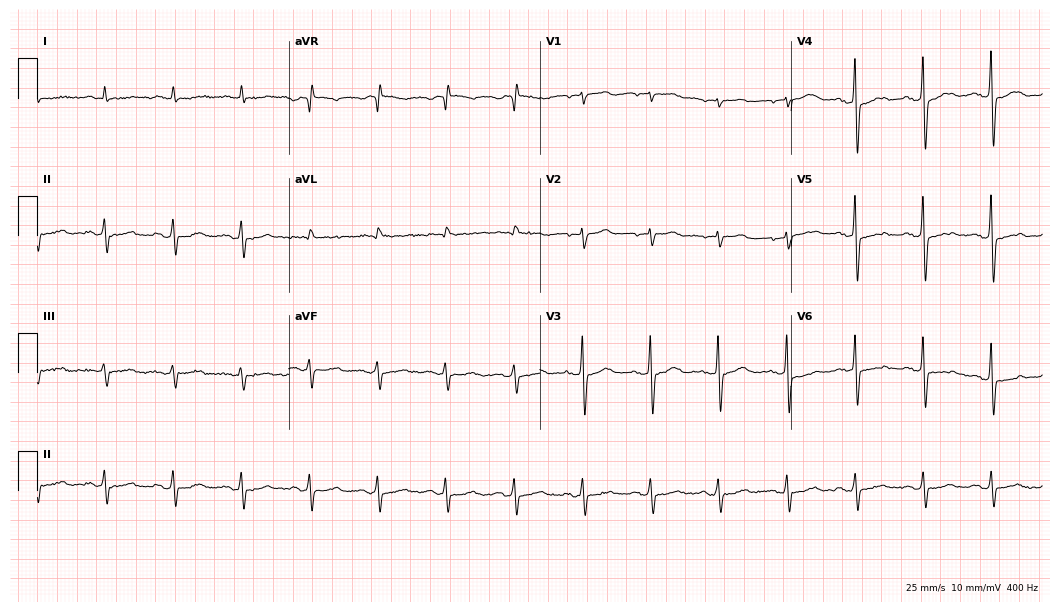
Electrocardiogram (10.2-second recording at 400 Hz), a female patient, 79 years old. Of the six screened findings (first-degree AV block, right bundle branch block (RBBB), left bundle branch block (LBBB), sinus bradycardia, atrial fibrillation (AF), sinus tachycardia), none is recorded.